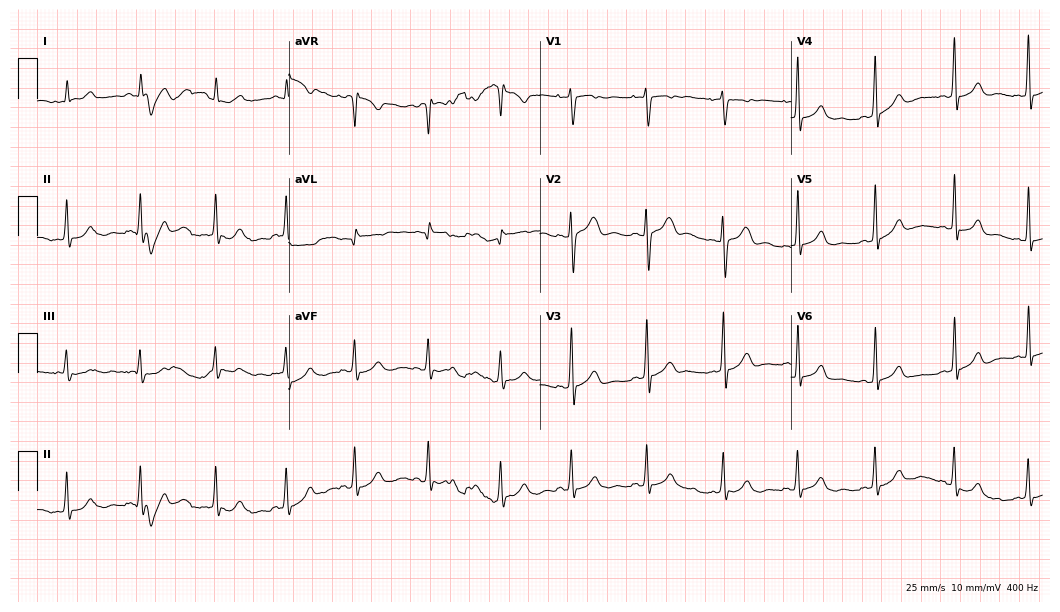
ECG (10.2-second recording at 400 Hz) — an 18-year-old female patient. Screened for six findings — first-degree AV block, right bundle branch block, left bundle branch block, sinus bradycardia, atrial fibrillation, sinus tachycardia — none is recorded. Other findings, if any, are not listed.